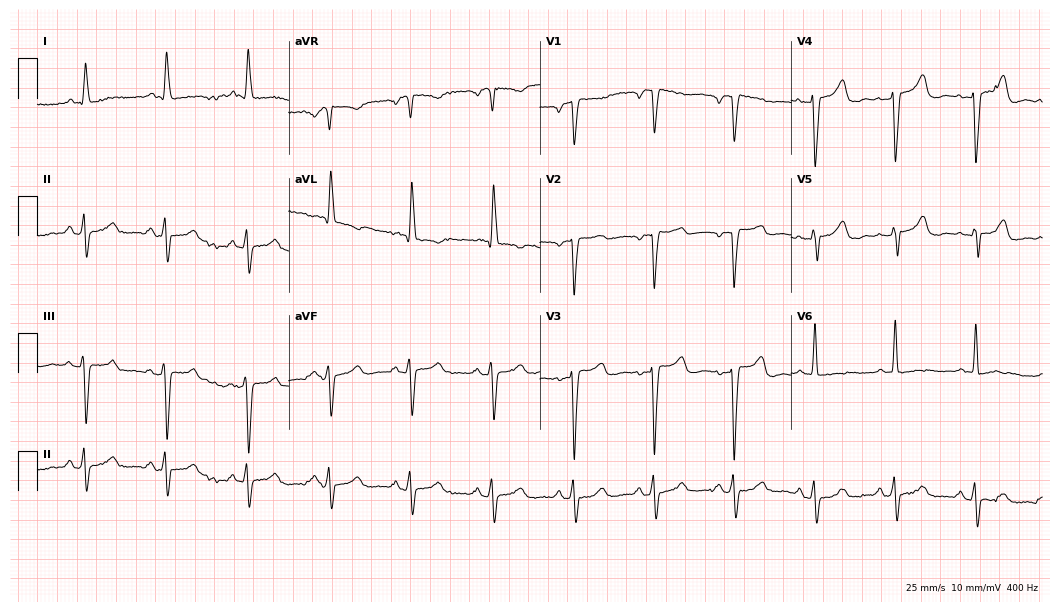
Standard 12-lead ECG recorded from a female, 70 years old. None of these six findings is recorded: first-degree AV block, right bundle branch block, left bundle branch block, sinus bradycardia, atrial fibrillation, sinus tachycardia. Other findings, if any, are not listed.